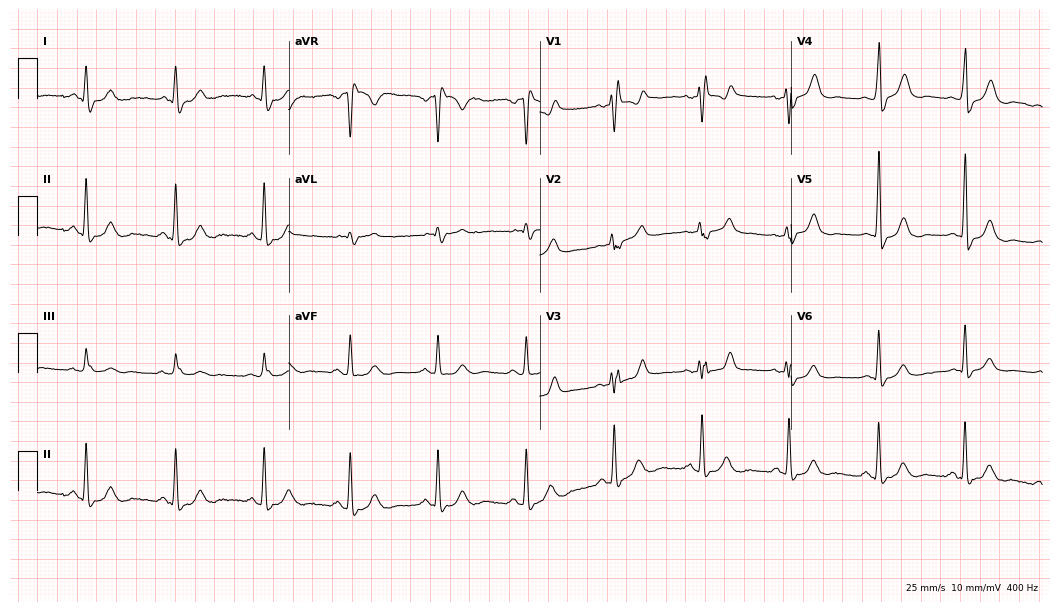
12-lead ECG (10.2-second recording at 400 Hz) from a male, 71 years old. Findings include right bundle branch block.